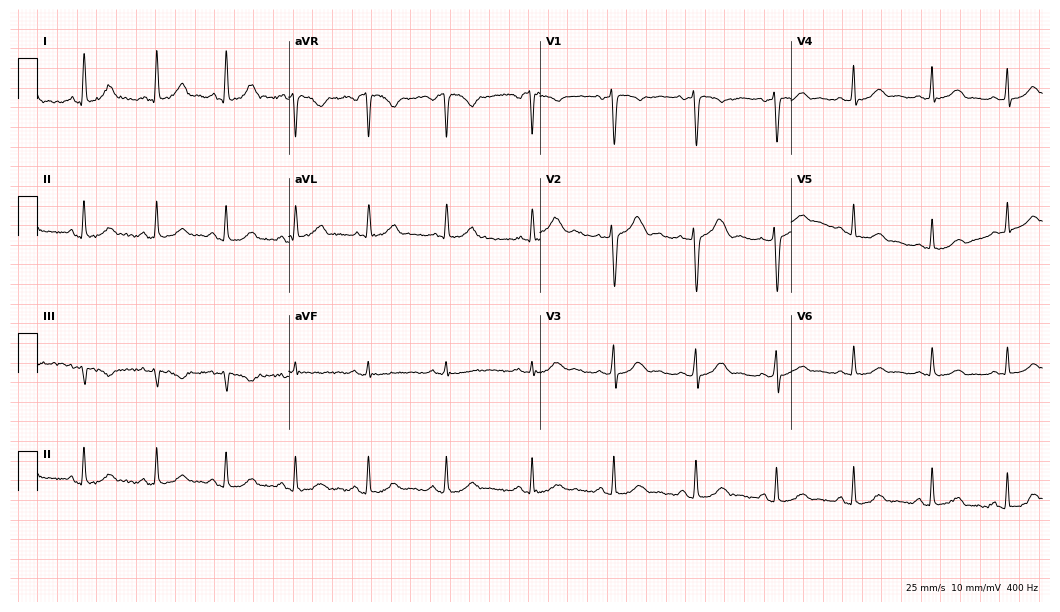
12-lead ECG from a female patient, 45 years old. Recorded interpretation: within normal limits.